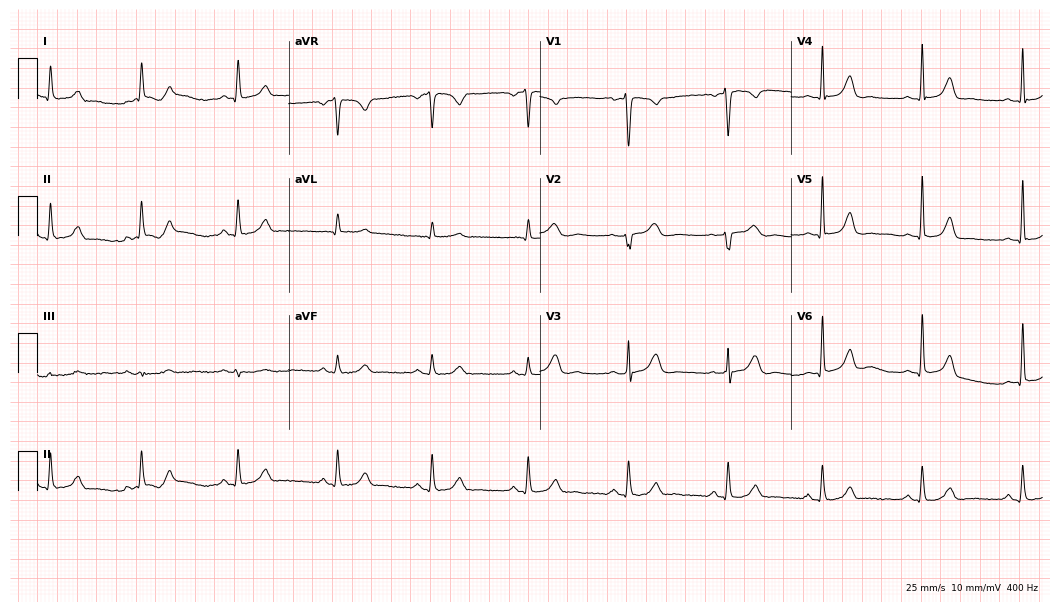
ECG — a 42-year-old female. Labelled as a normal ECG.